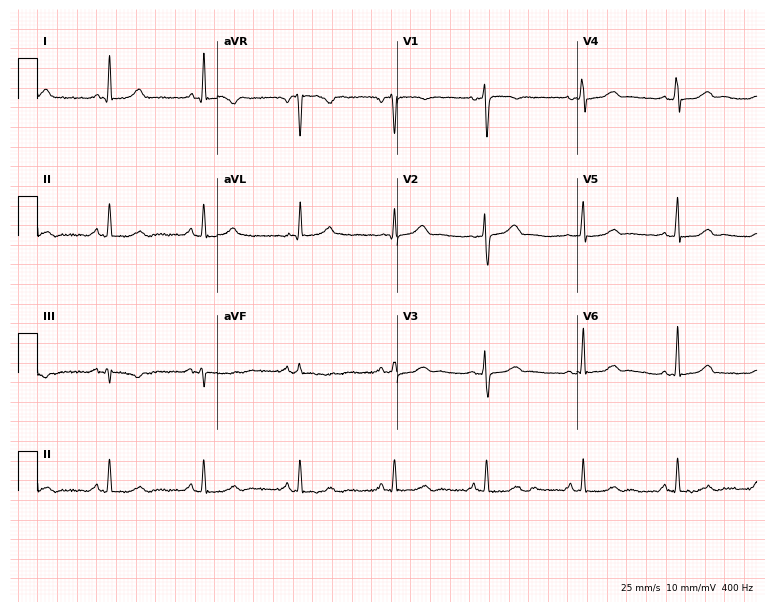
12-lead ECG from a female patient, 54 years old (7.3-second recording at 400 Hz). Recorded interpretation: within normal limits.